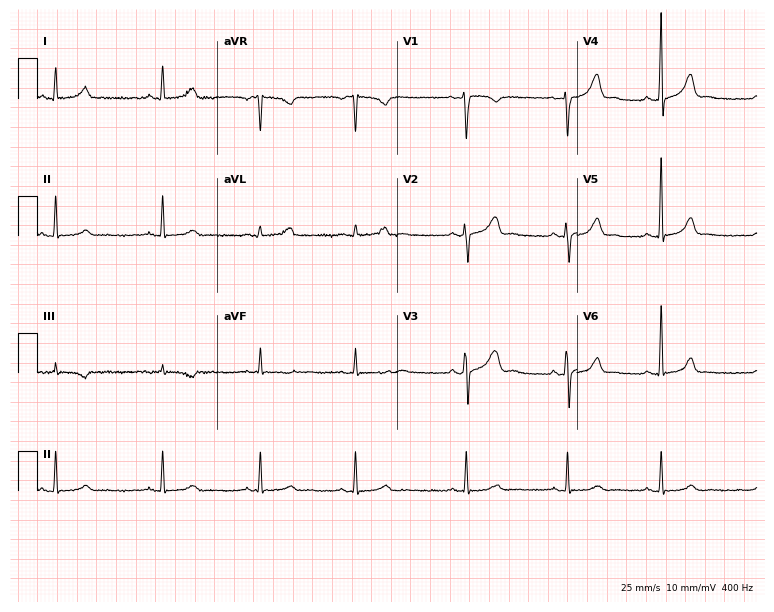
Resting 12-lead electrocardiogram. Patient: a 22-year-old female. Read as a normal ECG.